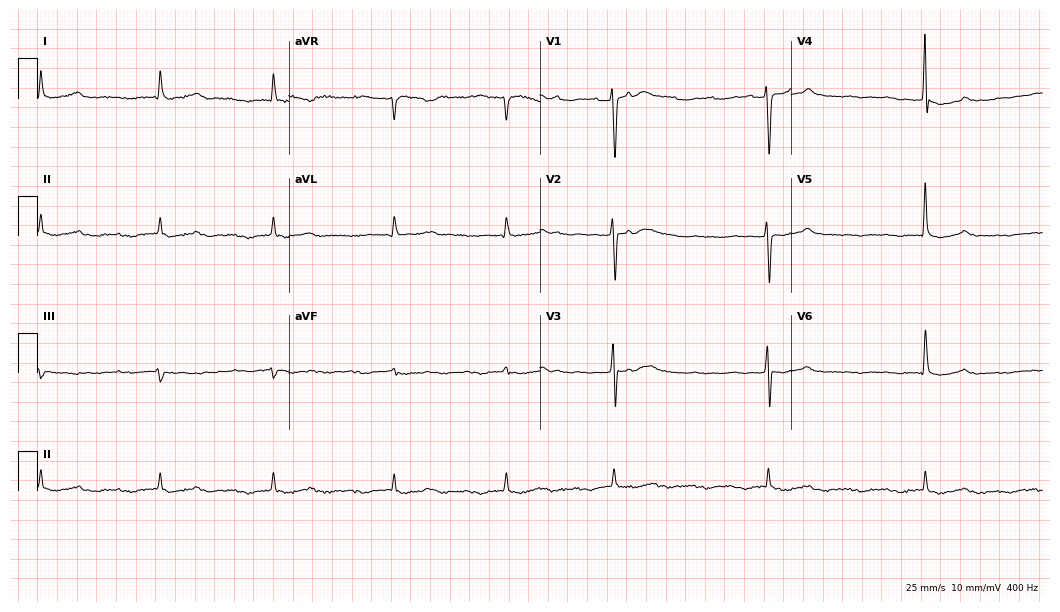
12-lead ECG from a 79-year-old male. No first-degree AV block, right bundle branch block, left bundle branch block, sinus bradycardia, atrial fibrillation or sinus tachycardia recorded for this tracing. Other findings, if any, are not listed.